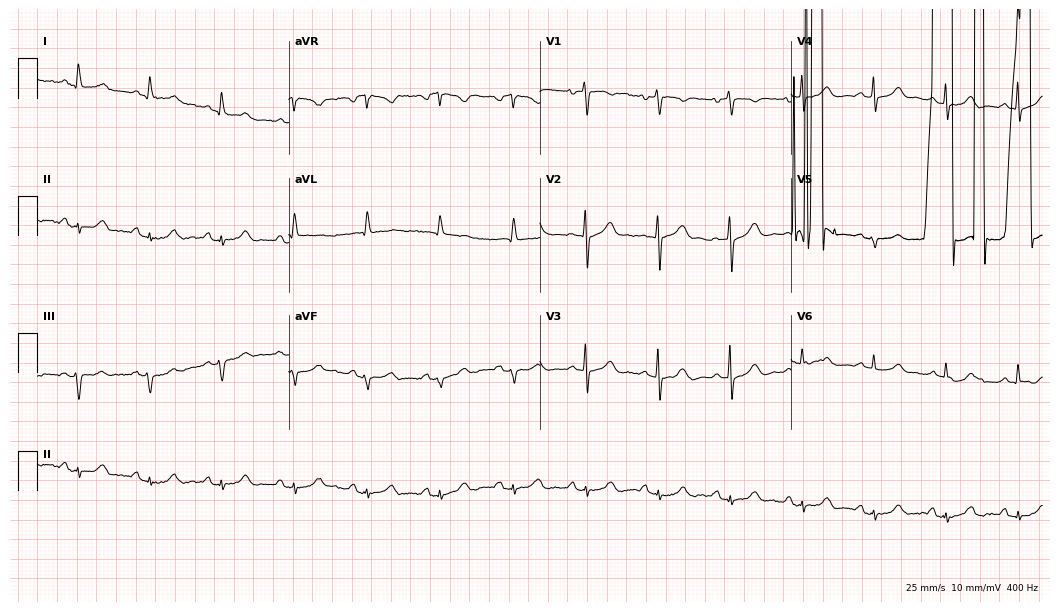
ECG — a female, 85 years old. Screened for six findings — first-degree AV block, right bundle branch block (RBBB), left bundle branch block (LBBB), sinus bradycardia, atrial fibrillation (AF), sinus tachycardia — none is recorded.